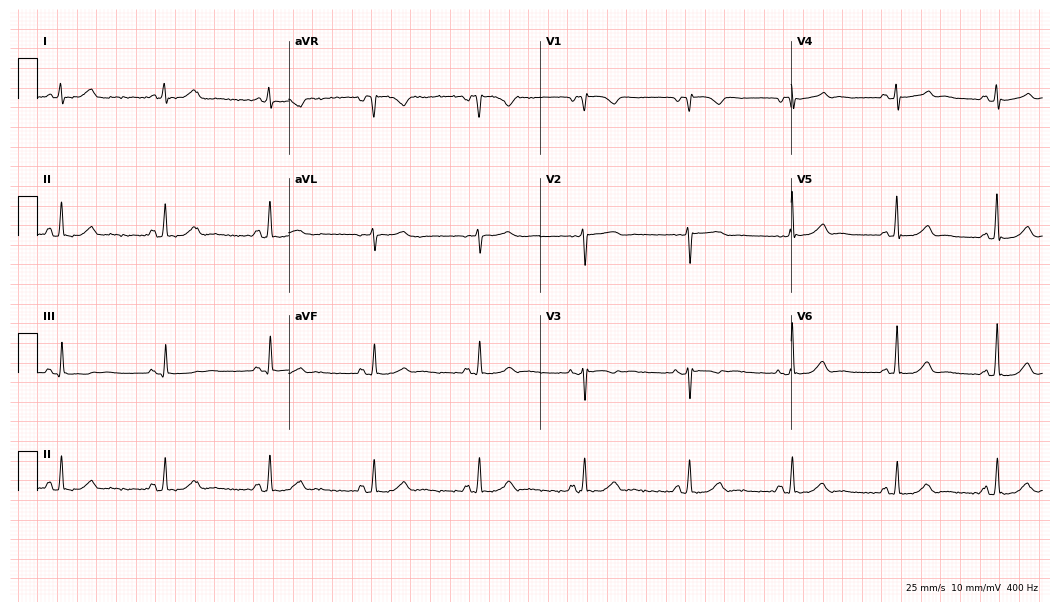
Resting 12-lead electrocardiogram (10.2-second recording at 400 Hz). Patient: a woman, 78 years old. Read as a normal ECG.